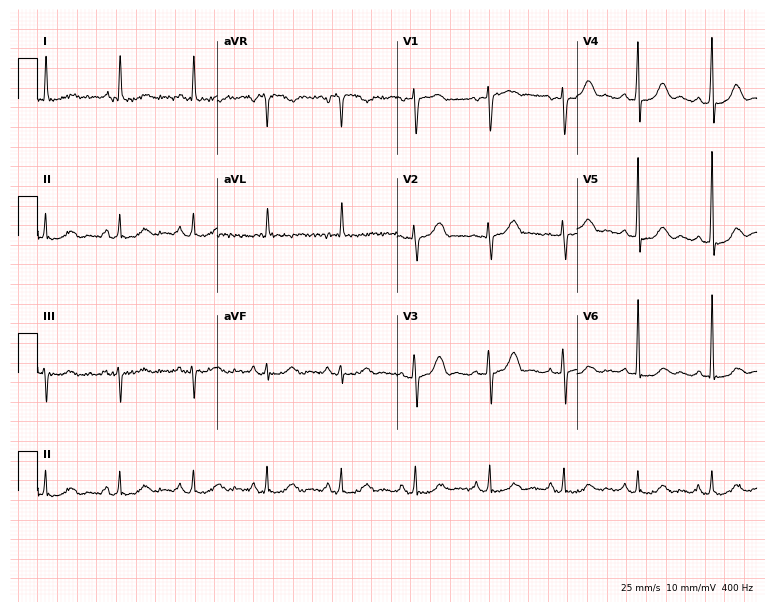
Electrocardiogram, a female patient, 81 years old. Of the six screened findings (first-degree AV block, right bundle branch block, left bundle branch block, sinus bradycardia, atrial fibrillation, sinus tachycardia), none is recorded. Only these six findings were labelled.